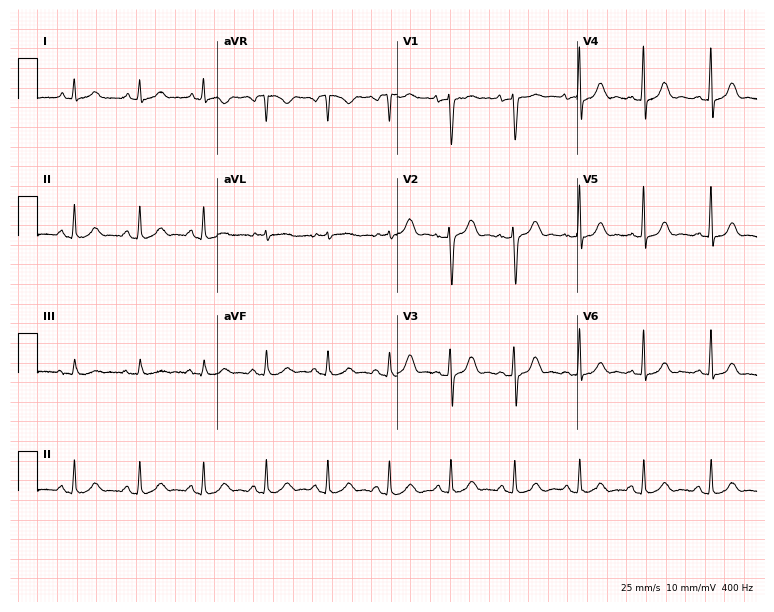
Standard 12-lead ECG recorded from a female, 24 years old. Read as a normal ECG.